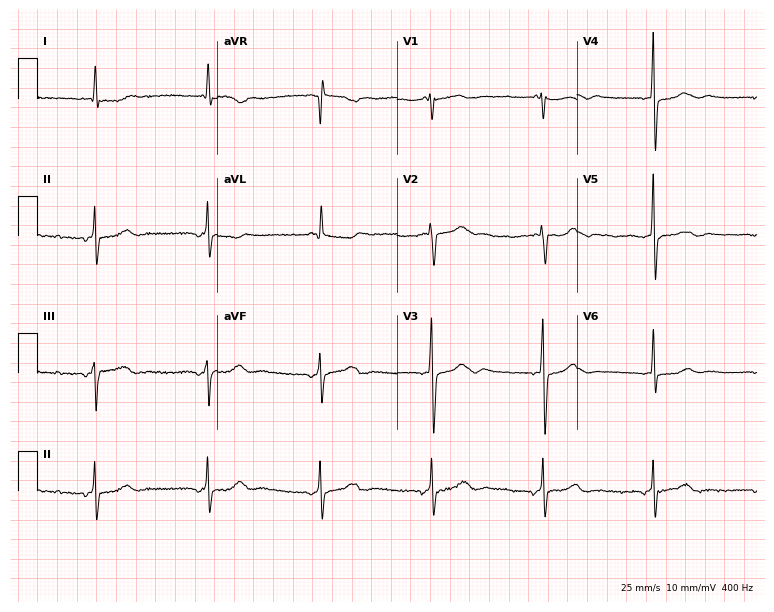
ECG (7.3-second recording at 400 Hz) — a female patient, 75 years old. Screened for six findings — first-degree AV block, right bundle branch block (RBBB), left bundle branch block (LBBB), sinus bradycardia, atrial fibrillation (AF), sinus tachycardia — none is recorded.